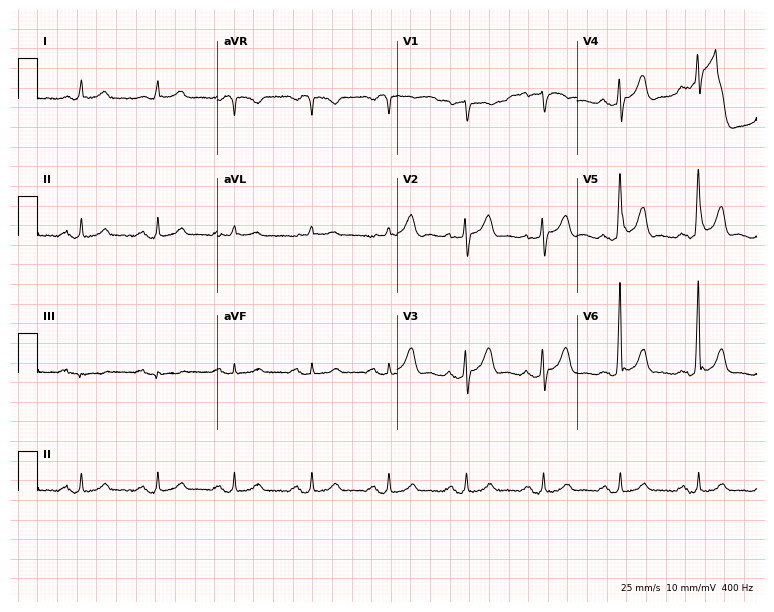
Resting 12-lead electrocardiogram (7.3-second recording at 400 Hz). Patient: a male, 72 years old. None of these six findings is recorded: first-degree AV block, right bundle branch block (RBBB), left bundle branch block (LBBB), sinus bradycardia, atrial fibrillation (AF), sinus tachycardia.